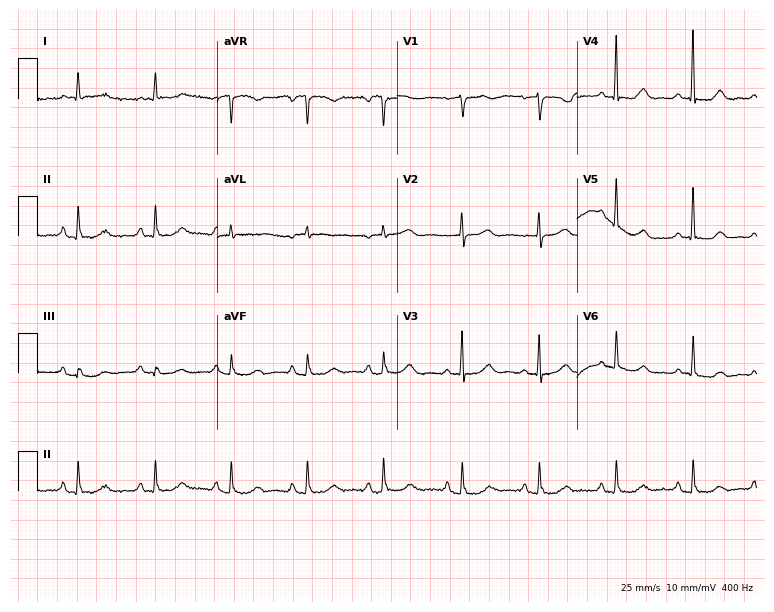
Resting 12-lead electrocardiogram (7.3-second recording at 400 Hz). Patient: a 75-year-old female. Read as a normal ECG.